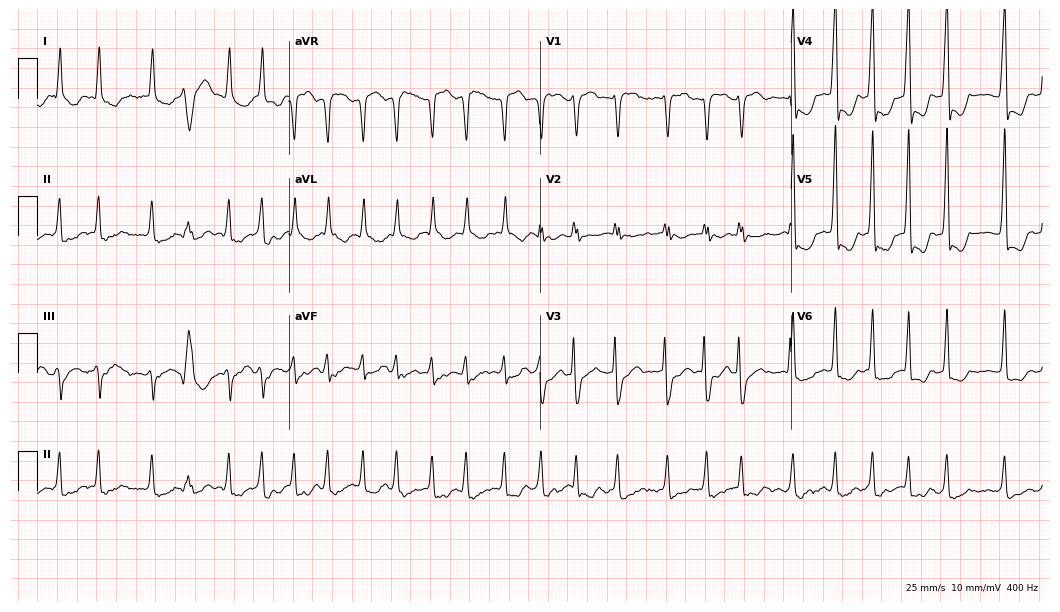
Resting 12-lead electrocardiogram (10.2-second recording at 400 Hz). Patient: a woman, 74 years old. The tracing shows atrial fibrillation.